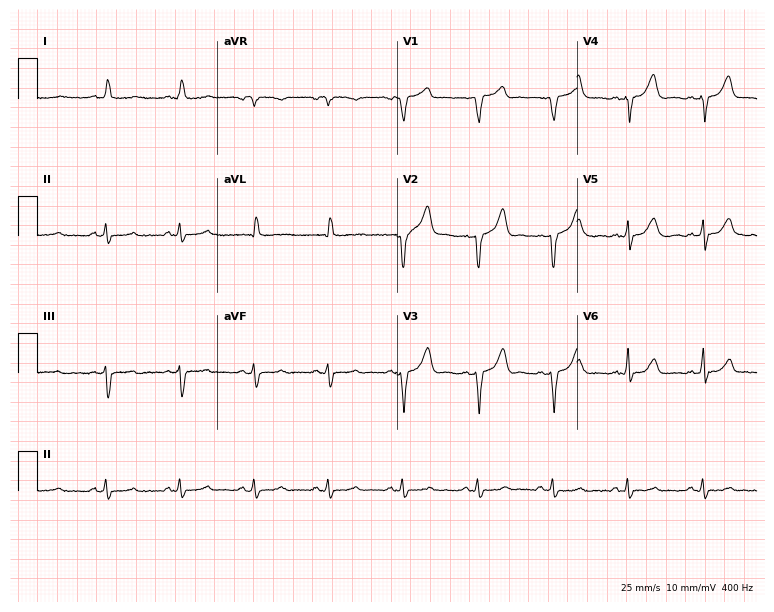
Standard 12-lead ECG recorded from a male, 80 years old. None of these six findings is recorded: first-degree AV block, right bundle branch block, left bundle branch block, sinus bradycardia, atrial fibrillation, sinus tachycardia.